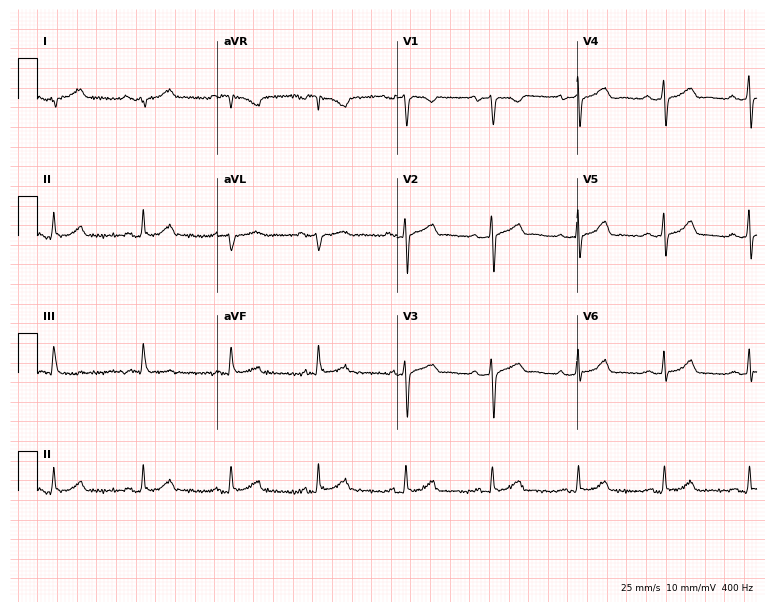
12-lead ECG from a female patient, 57 years old. Recorded interpretation: within normal limits.